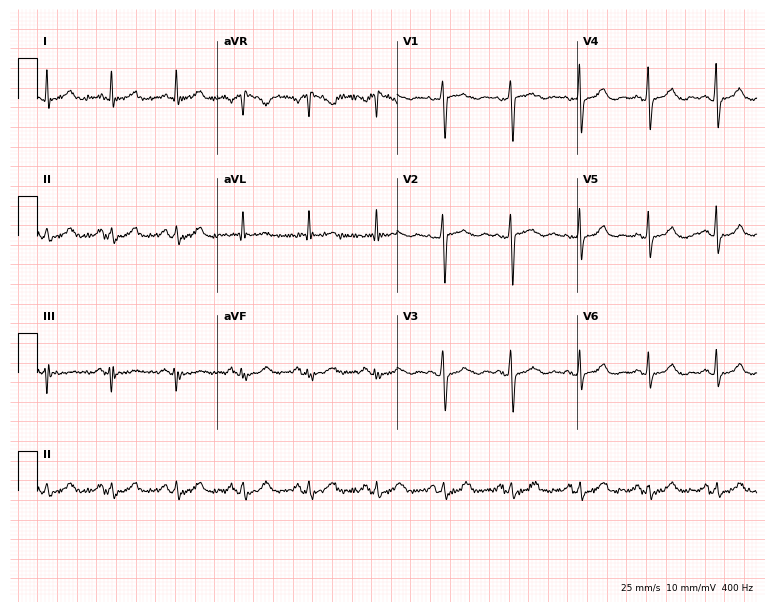
Standard 12-lead ECG recorded from a 72-year-old female patient (7.3-second recording at 400 Hz). Read as a normal ECG.